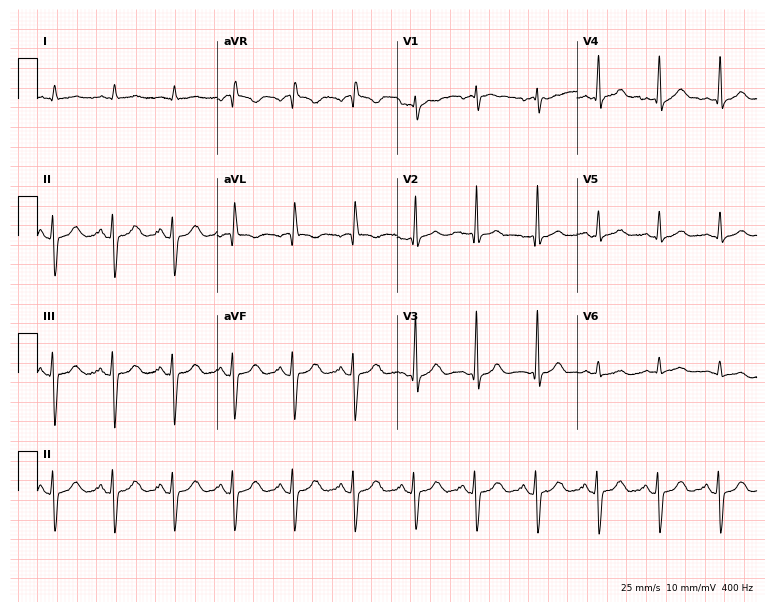
Resting 12-lead electrocardiogram (7.3-second recording at 400 Hz). Patient: a male, 84 years old. None of these six findings is recorded: first-degree AV block, right bundle branch block, left bundle branch block, sinus bradycardia, atrial fibrillation, sinus tachycardia.